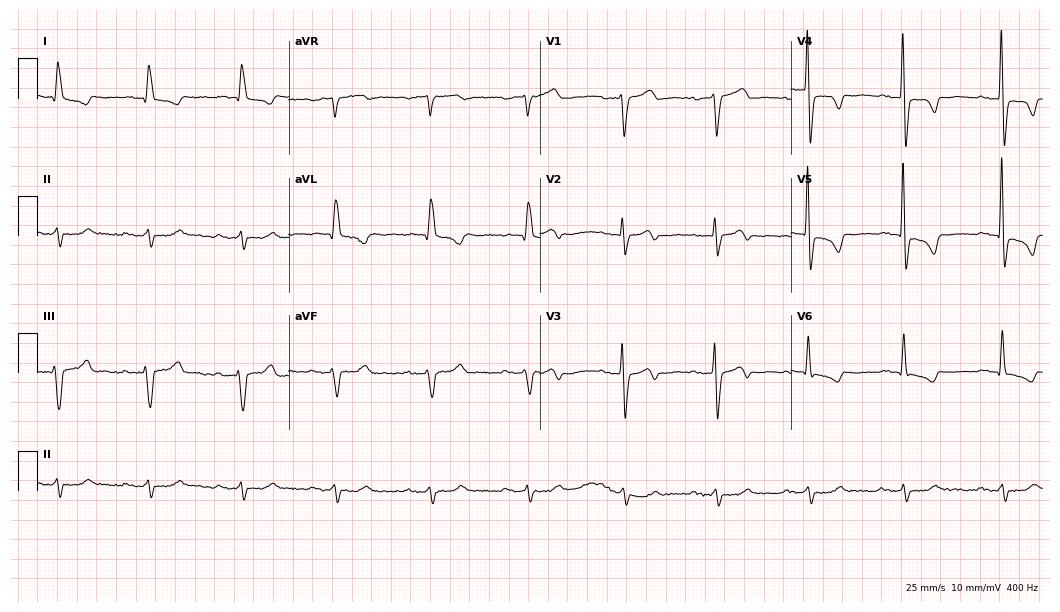
ECG (10.2-second recording at 400 Hz) — a male, 85 years old. Findings include first-degree AV block.